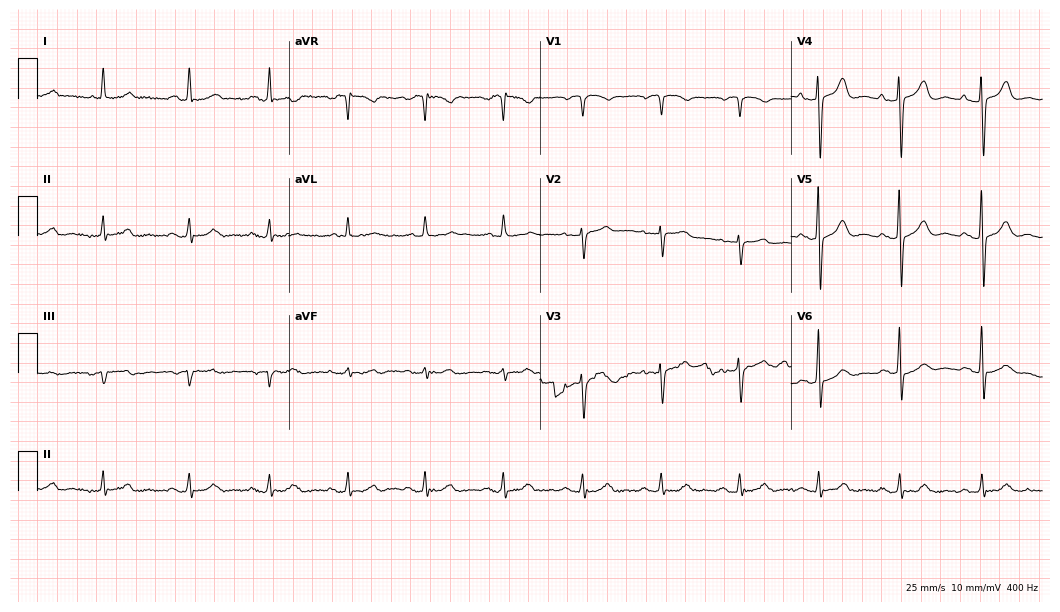
Resting 12-lead electrocardiogram (10.2-second recording at 400 Hz). Patient: a woman, 83 years old. Read as a normal ECG.